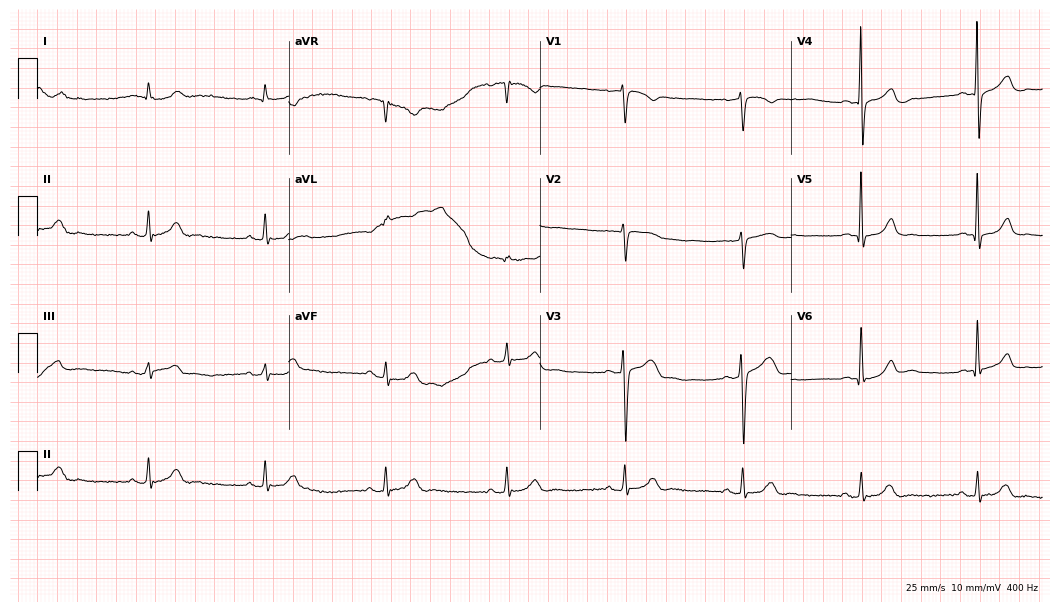
Electrocardiogram (10.2-second recording at 400 Hz), a 58-year-old man. Of the six screened findings (first-degree AV block, right bundle branch block (RBBB), left bundle branch block (LBBB), sinus bradycardia, atrial fibrillation (AF), sinus tachycardia), none is recorded.